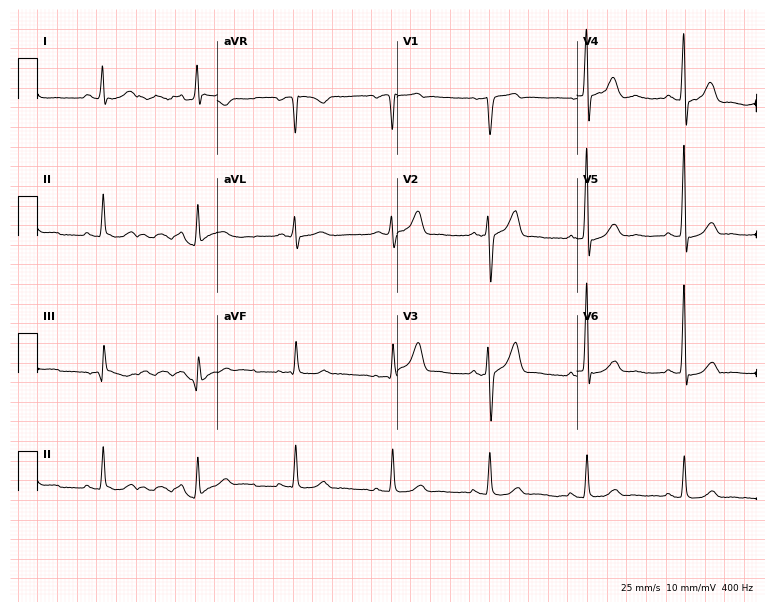
Resting 12-lead electrocardiogram (7.3-second recording at 400 Hz). Patient: a male, 54 years old. None of these six findings is recorded: first-degree AV block, right bundle branch block, left bundle branch block, sinus bradycardia, atrial fibrillation, sinus tachycardia.